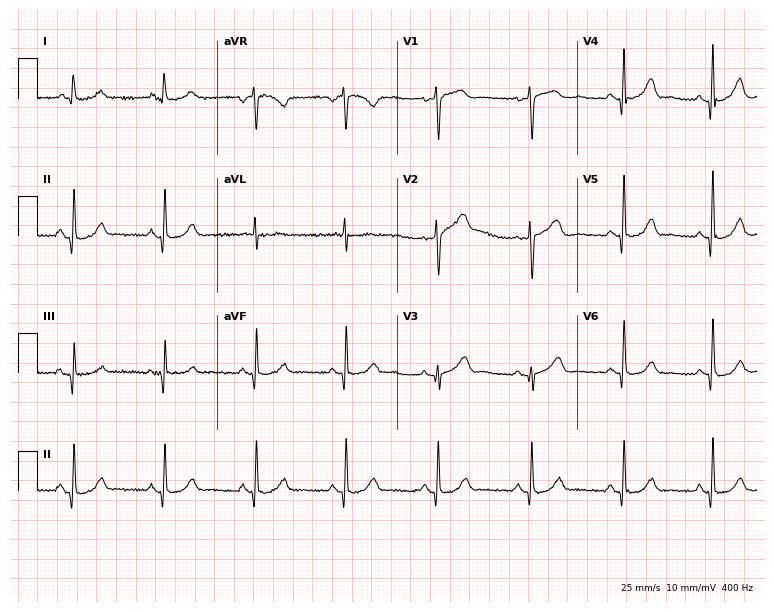
Electrocardiogram (7.3-second recording at 400 Hz), a female patient, 64 years old. Overall reading on record: normal ECG.